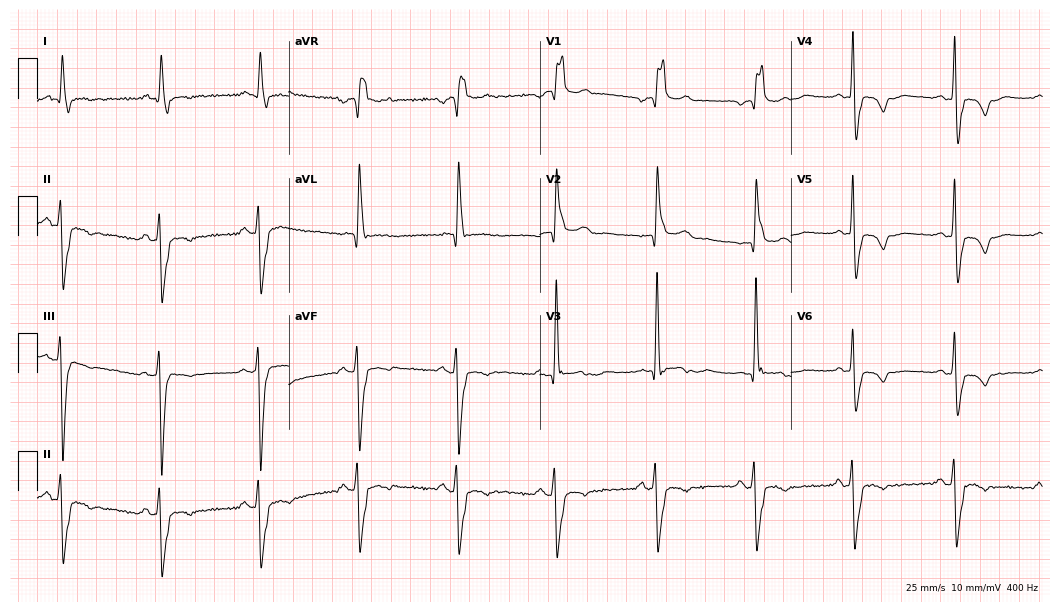
Electrocardiogram (10.2-second recording at 400 Hz), a female patient, 66 years old. Interpretation includes right bundle branch block (RBBB).